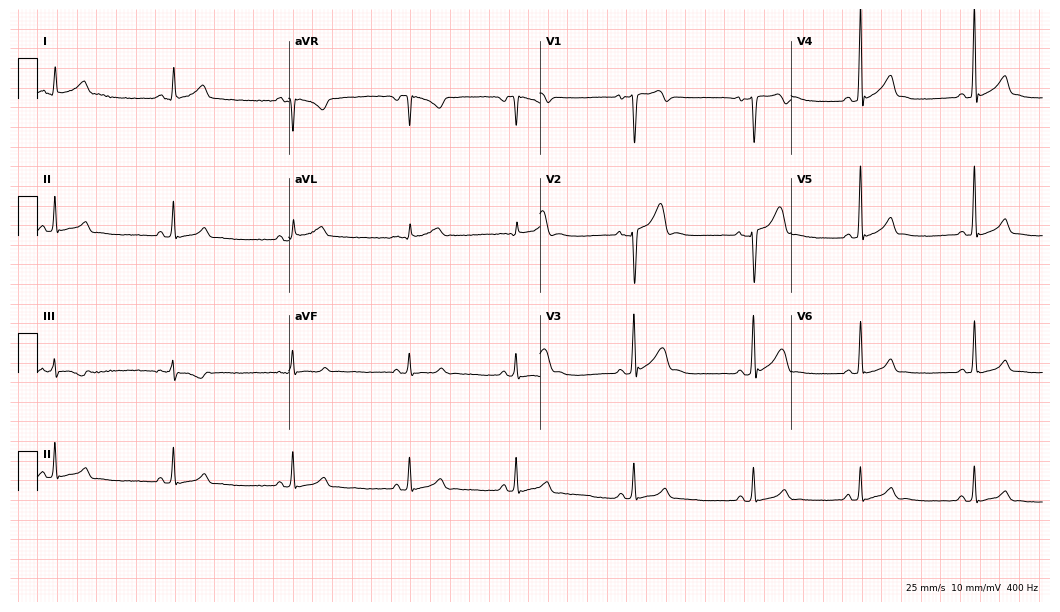
ECG (10.2-second recording at 400 Hz) — a 20-year-old male. Labelled as a normal ECG.